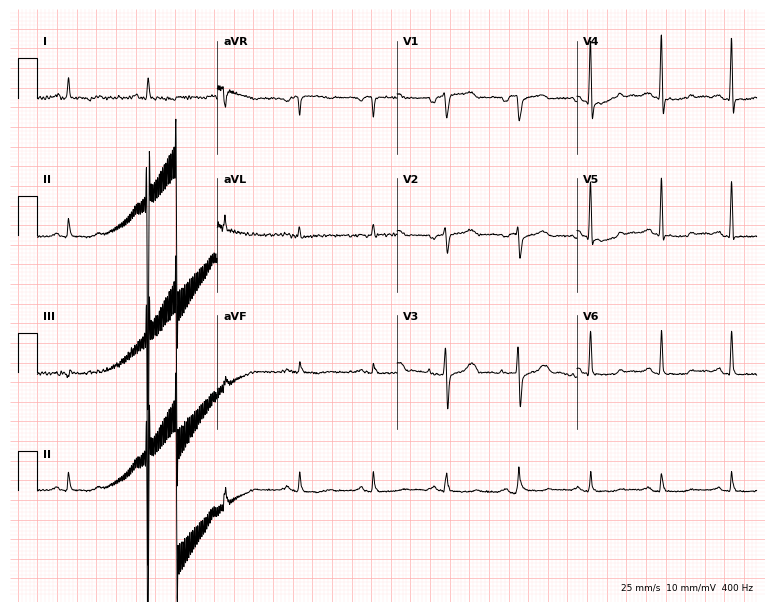
ECG (7.3-second recording at 400 Hz) — a 76-year-old female. Screened for six findings — first-degree AV block, right bundle branch block, left bundle branch block, sinus bradycardia, atrial fibrillation, sinus tachycardia — none is recorded.